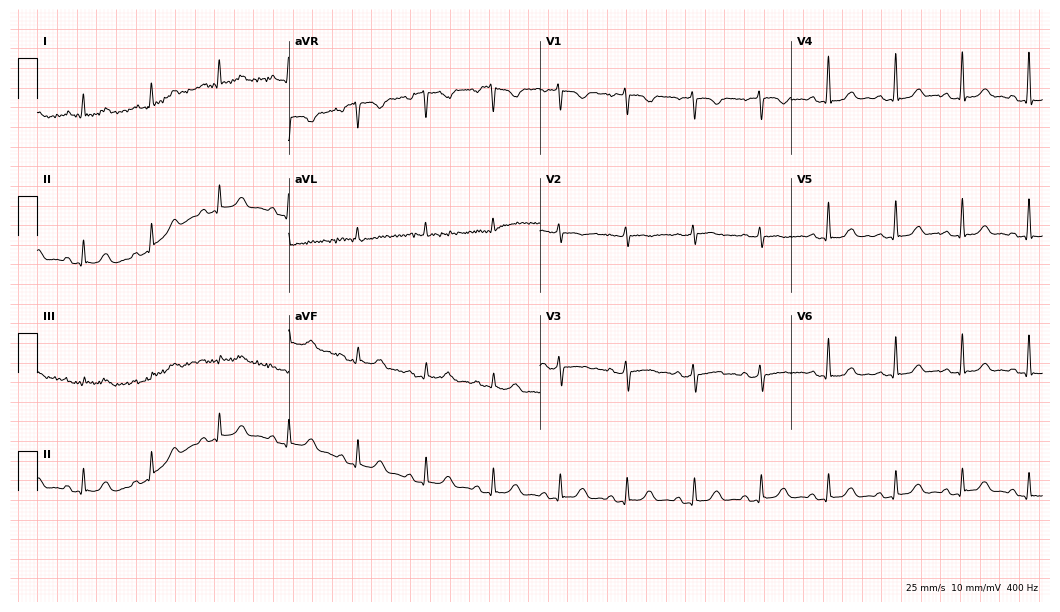
12-lead ECG from a 56-year-old female patient. Labelled as a normal ECG.